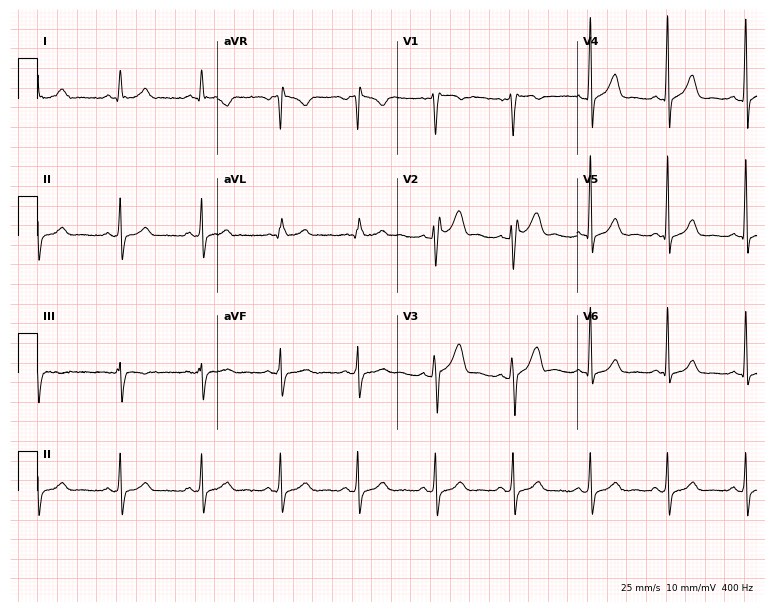
ECG (7.3-second recording at 400 Hz) — a man, 40 years old. Labelled as a normal ECG.